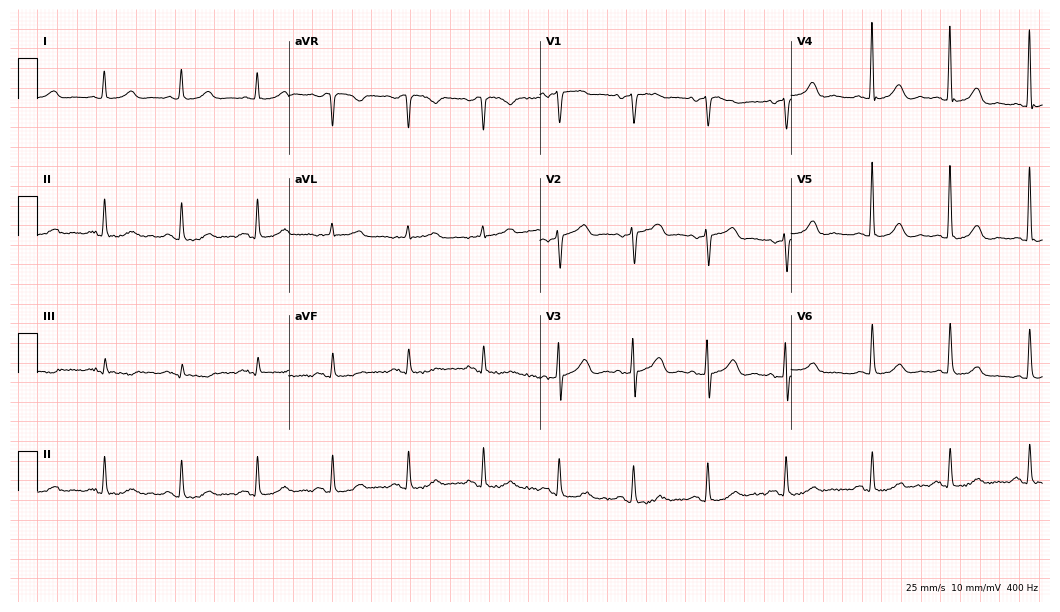
Resting 12-lead electrocardiogram. Patient: an 82-year-old female. Read as a normal ECG.